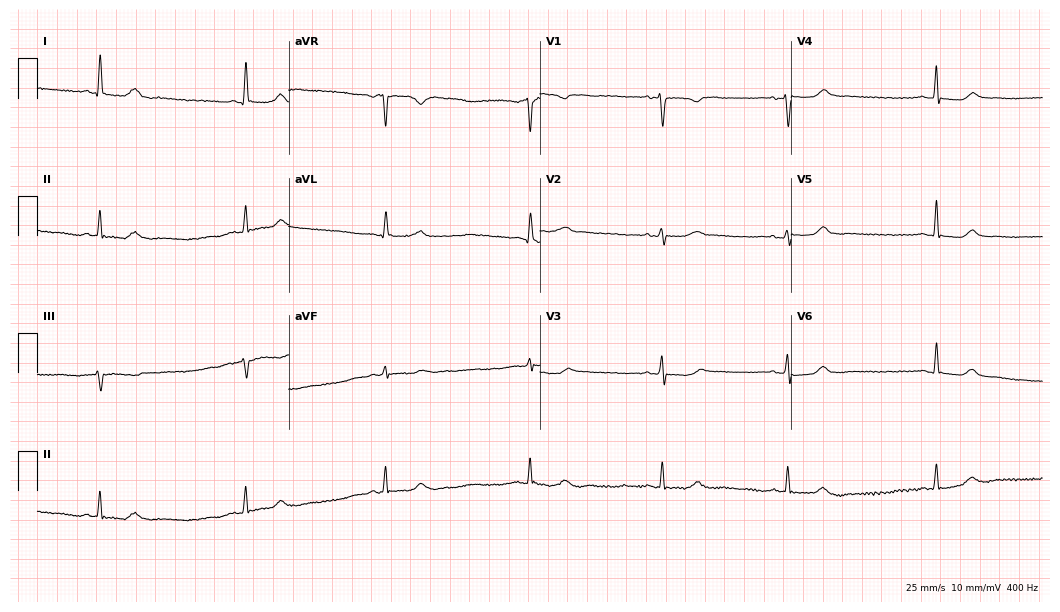
Standard 12-lead ECG recorded from a female patient, 64 years old. The tracing shows sinus bradycardia (a sinus rate of 50 beats per minute or less).